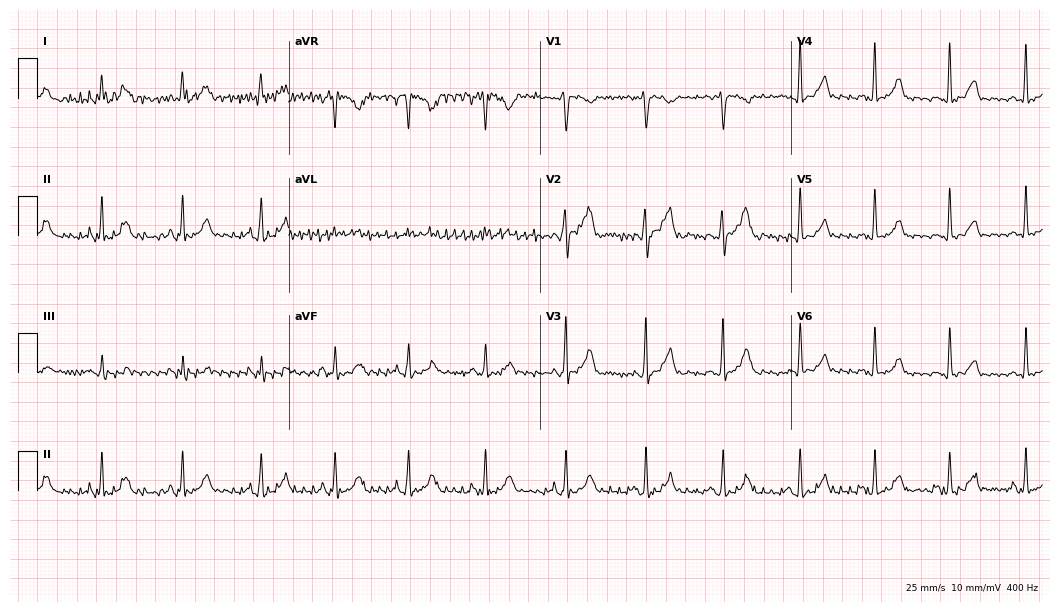
12-lead ECG (10.2-second recording at 400 Hz) from a 35-year-old woman. Screened for six findings — first-degree AV block, right bundle branch block (RBBB), left bundle branch block (LBBB), sinus bradycardia, atrial fibrillation (AF), sinus tachycardia — none is recorded. Other findings, if any, are not listed.